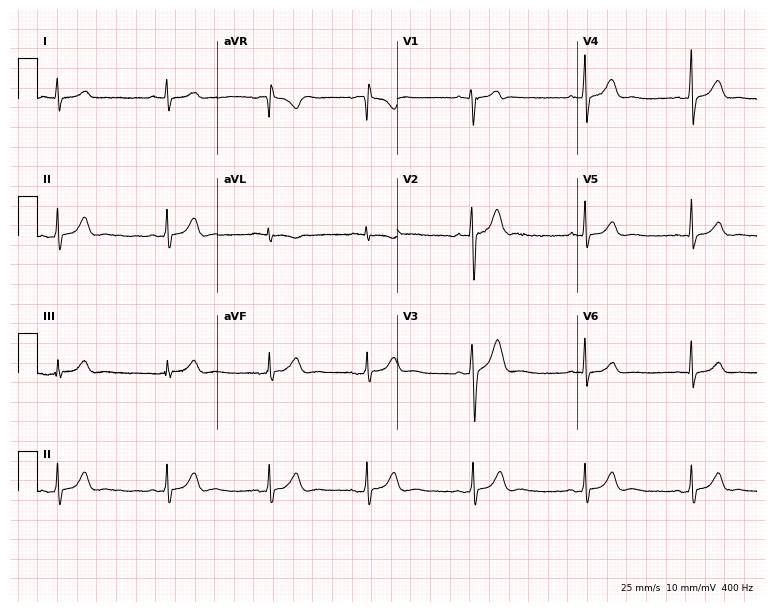
12-lead ECG (7.3-second recording at 400 Hz) from a male patient, 29 years old. Labelled as a normal ECG.